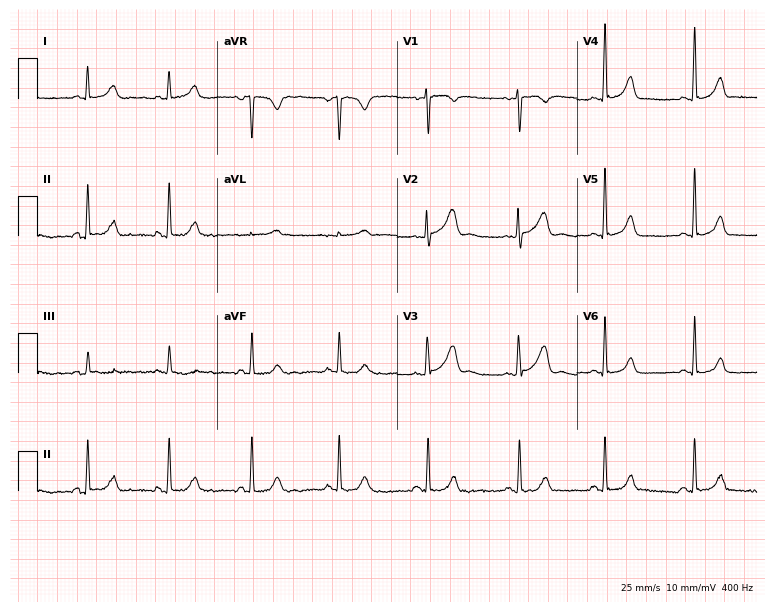
Standard 12-lead ECG recorded from a female, 27 years old. None of these six findings is recorded: first-degree AV block, right bundle branch block, left bundle branch block, sinus bradycardia, atrial fibrillation, sinus tachycardia. Only these six findings were labelled.